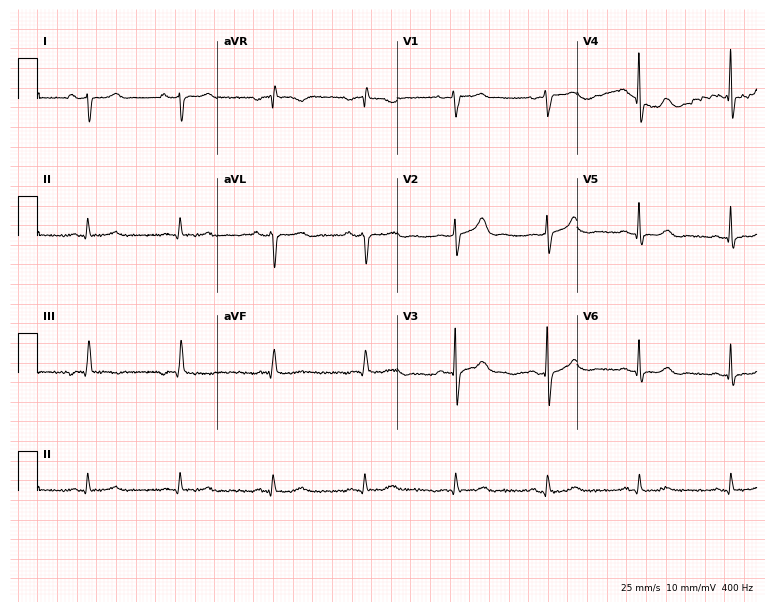
Standard 12-lead ECG recorded from a 75-year-old male. None of these six findings is recorded: first-degree AV block, right bundle branch block (RBBB), left bundle branch block (LBBB), sinus bradycardia, atrial fibrillation (AF), sinus tachycardia. Other findings, if any, are not listed.